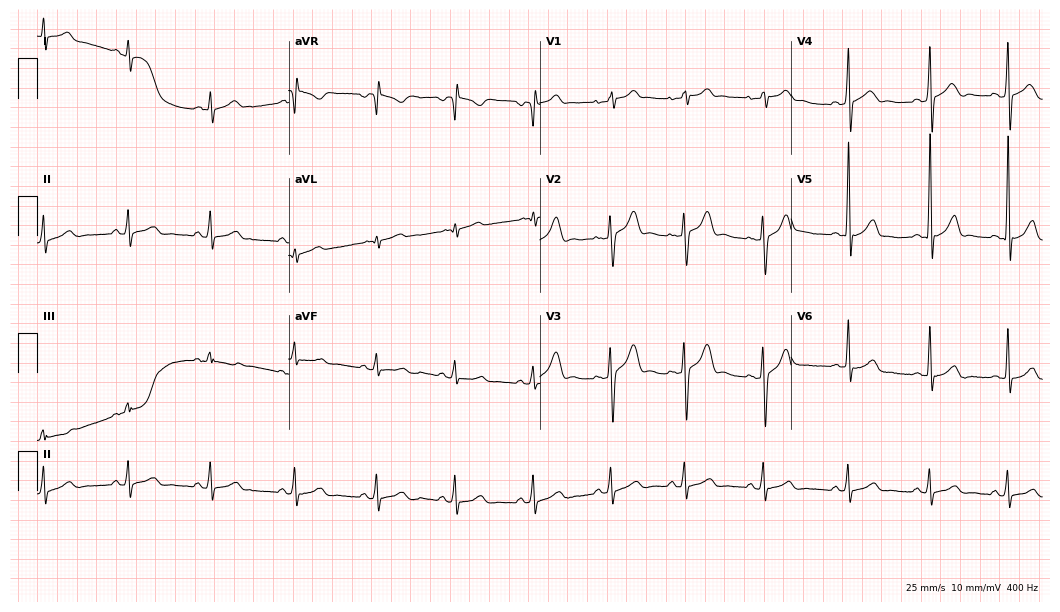
12-lead ECG from a male, 28 years old (10.2-second recording at 400 Hz). Recorded interpretation: within normal limits.